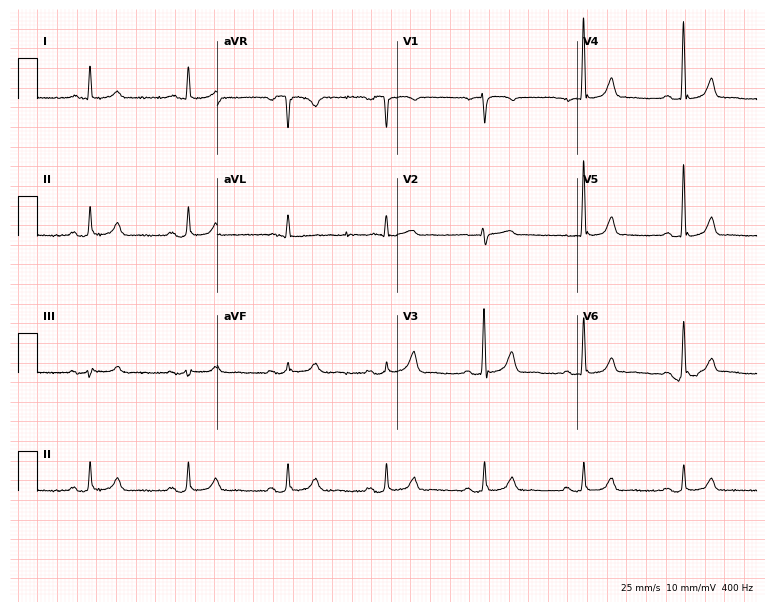
ECG (7.3-second recording at 400 Hz) — a 71-year-old man. Labelled as a normal ECG.